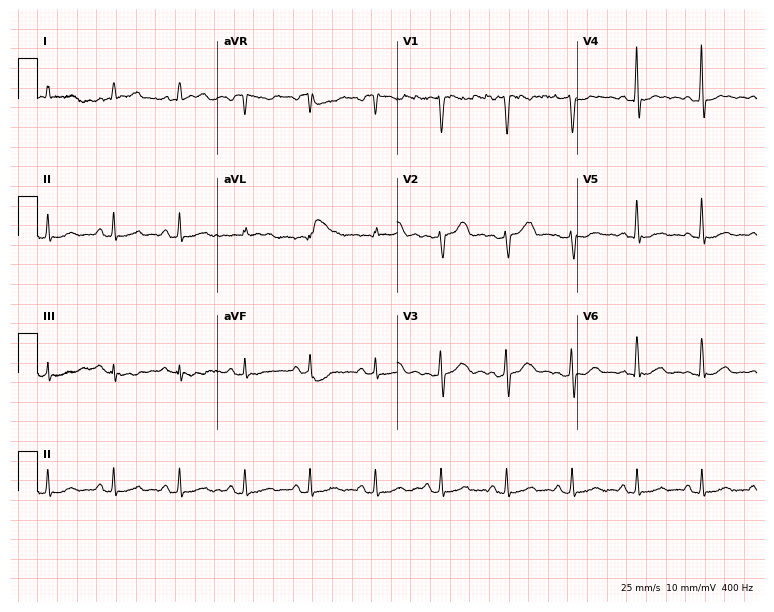
12-lead ECG from a 44-year-old female patient. Recorded interpretation: within normal limits.